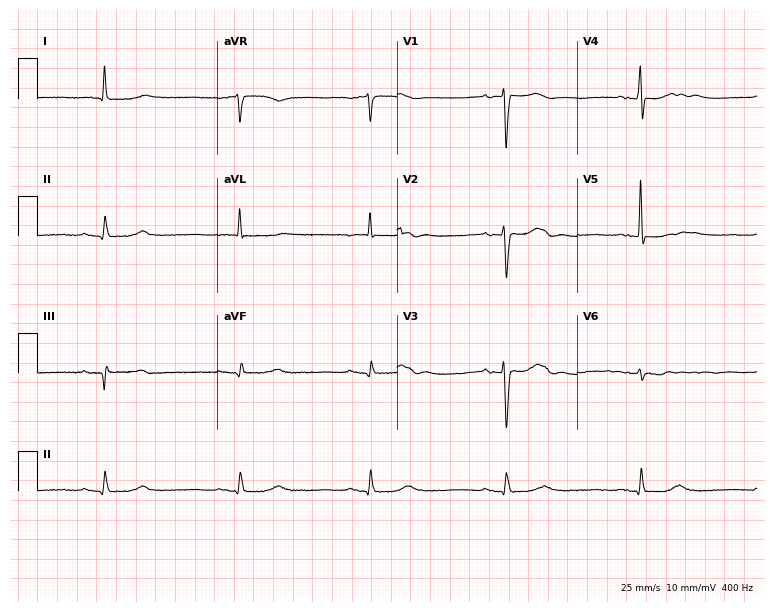
12-lead ECG from a female, 83 years old. Shows sinus bradycardia (a sinus rate of 50 beats per minute or less).